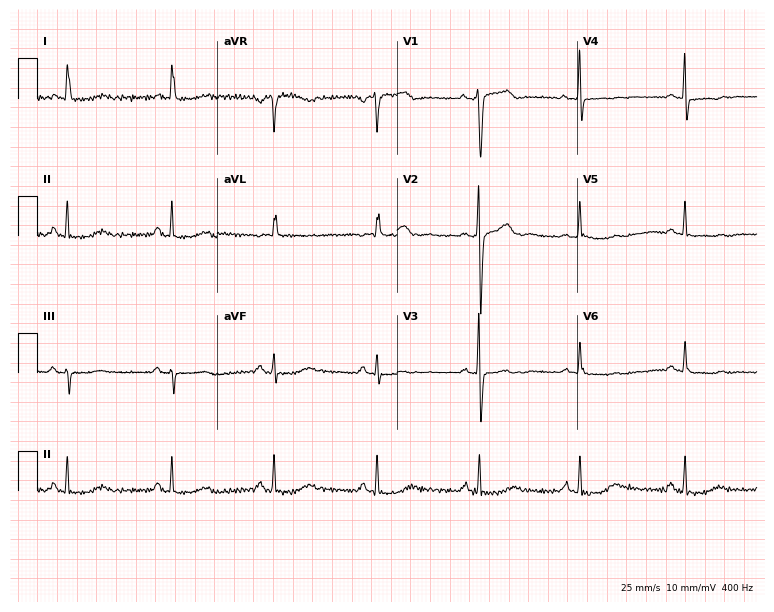
ECG — a woman, 77 years old. Screened for six findings — first-degree AV block, right bundle branch block, left bundle branch block, sinus bradycardia, atrial fibrillation, sinus tachycardia — none is recorded.